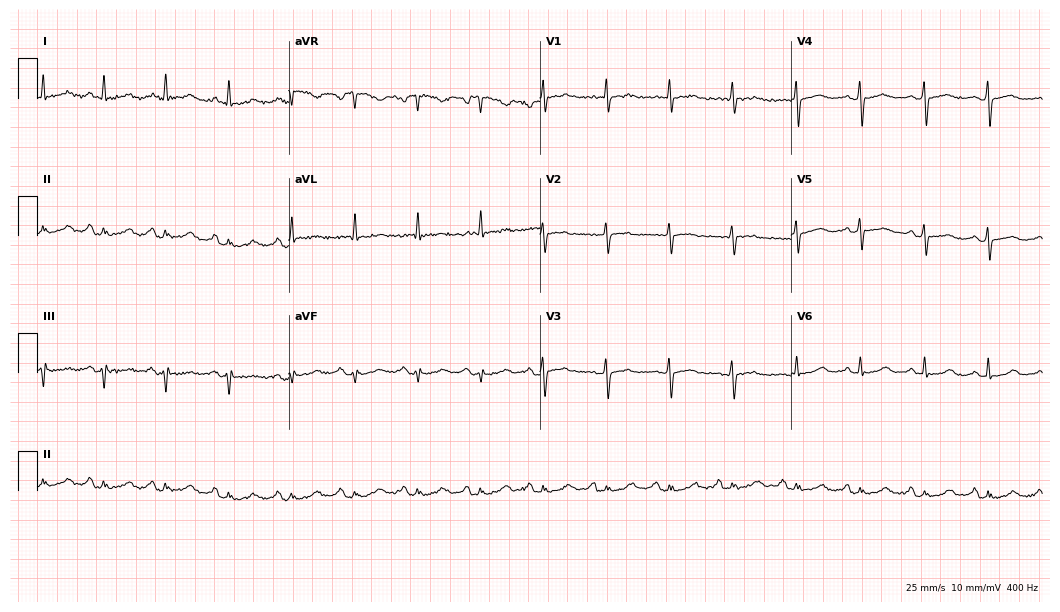
ECG (10.2-second recording at 400 Hz) — a 64-year-old woman. Screened for six findings — first-degree AV block, right bundle branch block (RBBB), left bundle branch block (LBBB), sinus bradycardia, atrial fibrillation (AF), sinus tachycardia — none is recorded.